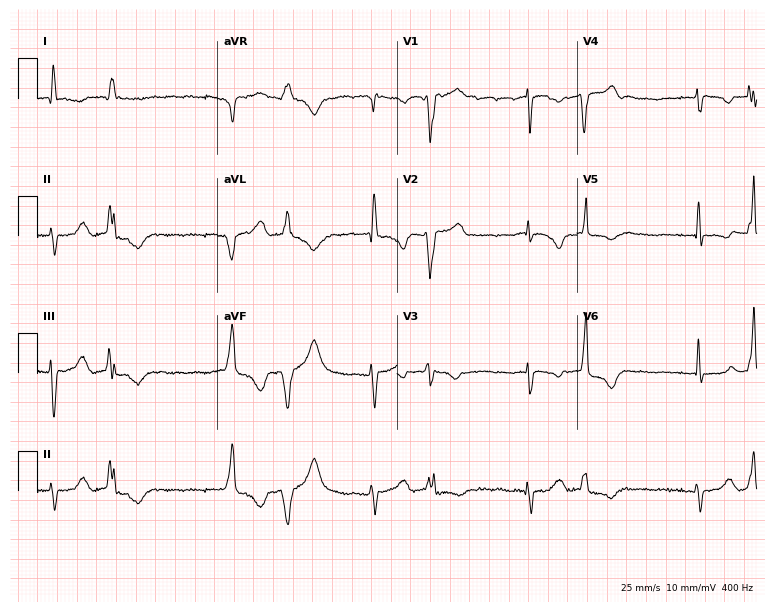
ECG (7.3-second recording at 400 Hz) — a woman, 79 years old. Screened for six findings — first-degree AV block, right bundle branch block (RBBB), left bundle branch block (LBBB), sinus bradycardia, atrial fibrillation (AF), sinus tachycardia — none is recorded. Other findings, if any, are not listed.